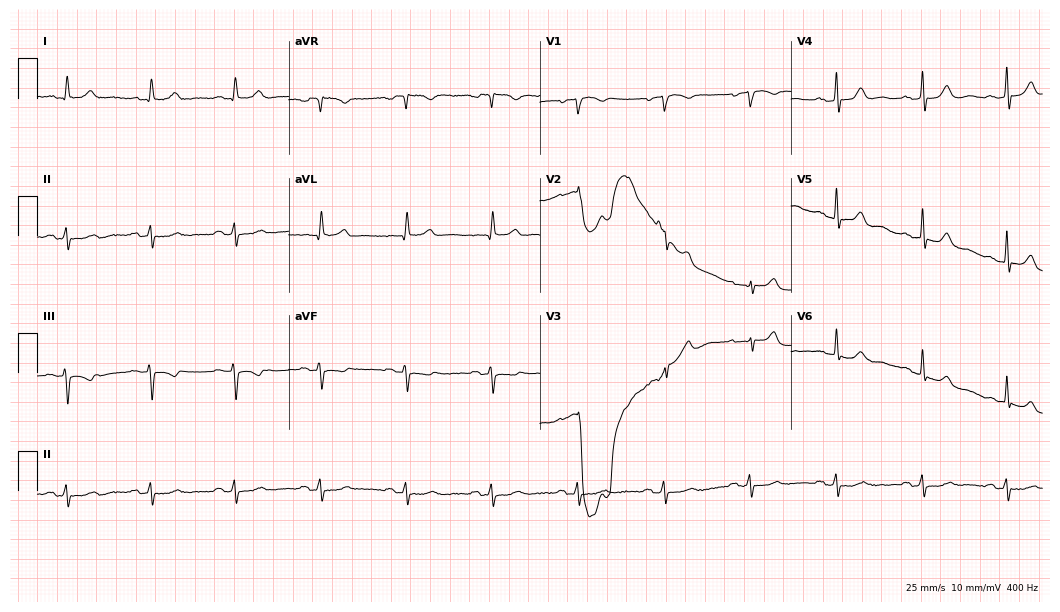
Standard 12-lead ECG recorded from a female, 69 years old. None of these six findings is recorded: first-degree AV block, right bundle branch block, left bundle branch block, sinus bradycardia, atrial fibrillation, sinus tachycardia.